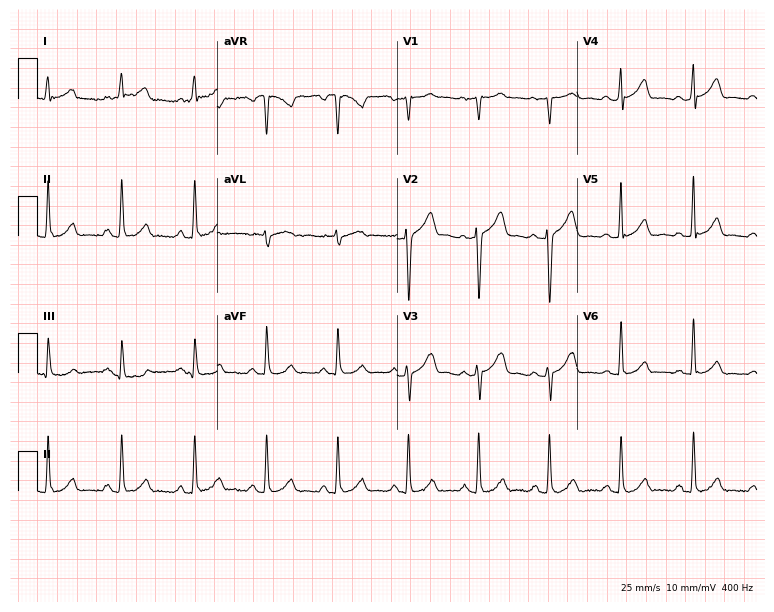
ECG (7.3-second recording at 400 Hz) — a 46-year-old male. Labelled as a normal ECG.